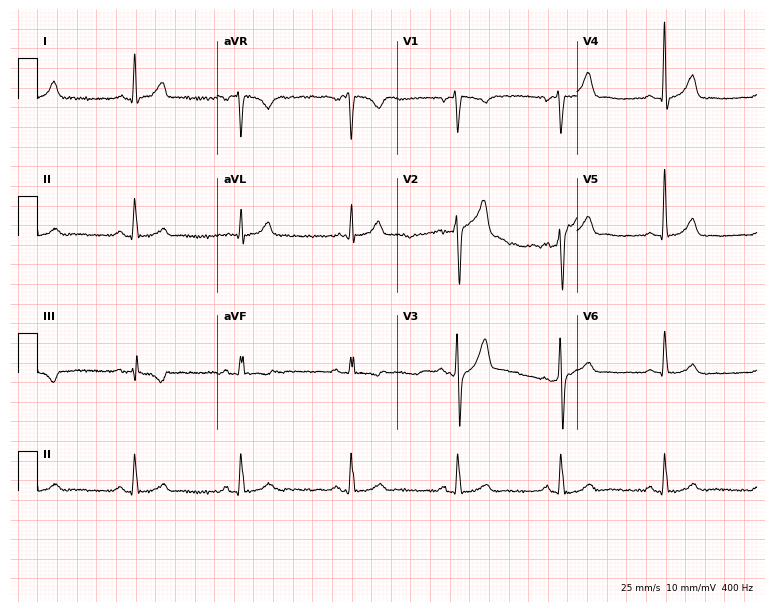
ECG (7.3-second recording at 400 Hz) — a man, 52 years old. Labelled as a normal ECG.